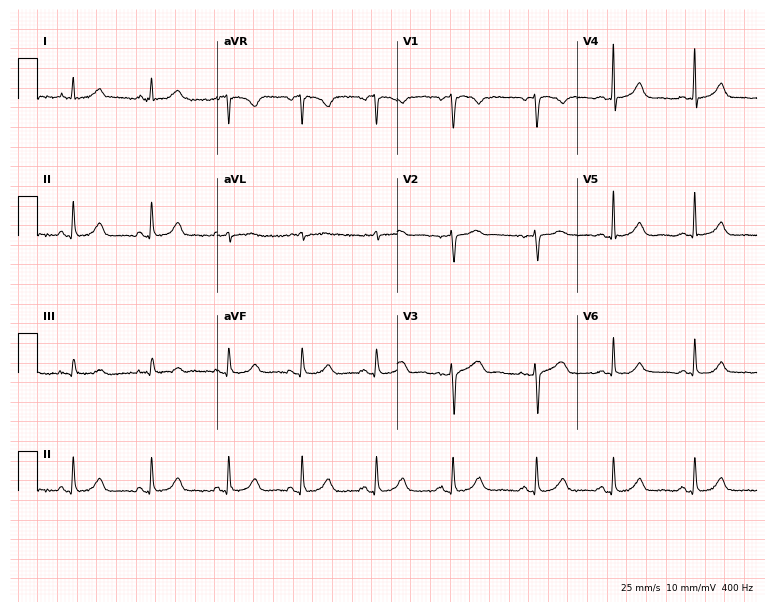
12-lead ECG from a female, 39 years old (7.3-second recording at 400 Hz). Recorded interpretation: within normal limits.